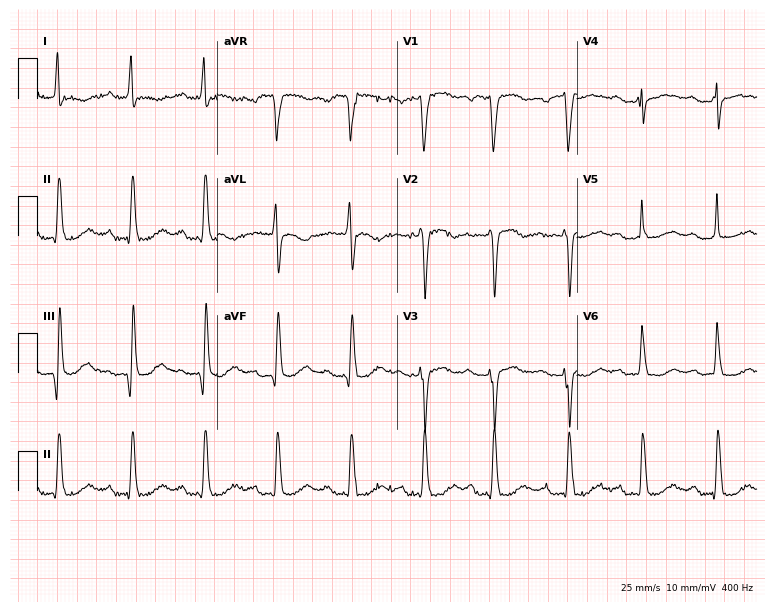
ECG — a 59-year-old female. Findings include first-degree AV block, left bundle branch block.